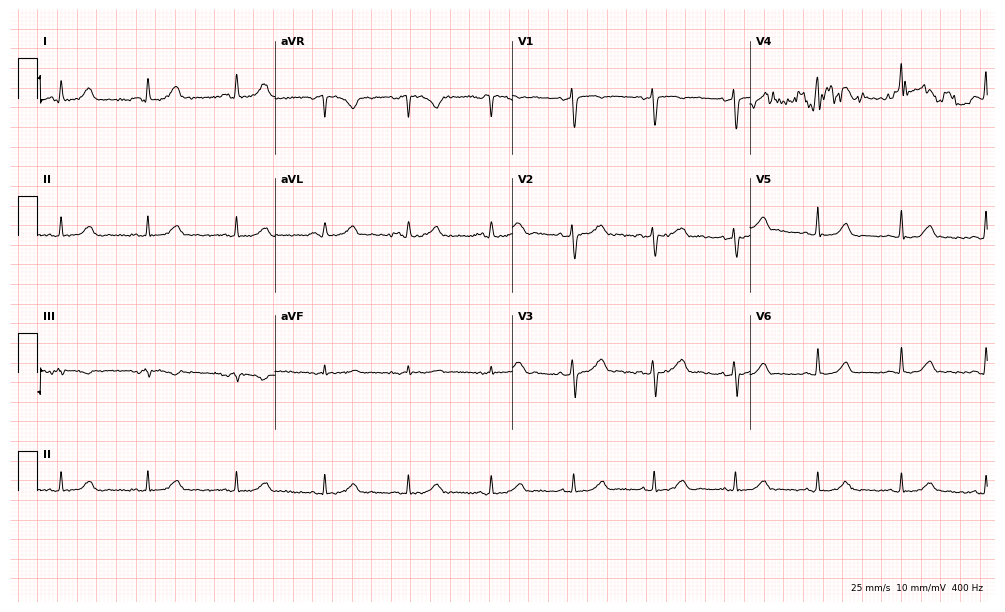
Standard 12-lead ECG recorded from a 40-year-old female. Read as a normal ECG.